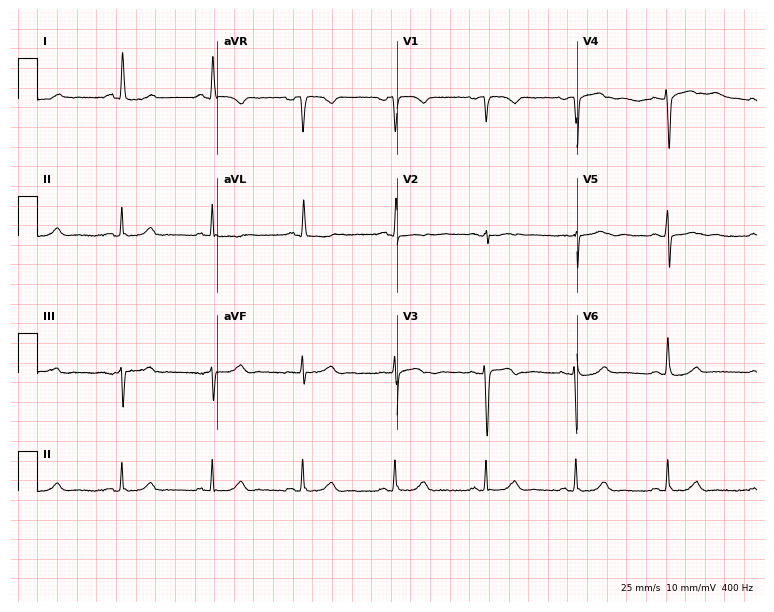
Standard 12-lead ECG recorded from a 78-year-old female (7.3-second recording at 400 Hz). None of these six findings is recorded: first-degree AV block, right bundle branch block, left bundle branch block, sinus bradycardia, atrial fibrillation, sinus tachycardia. Only these six findings were labelled.